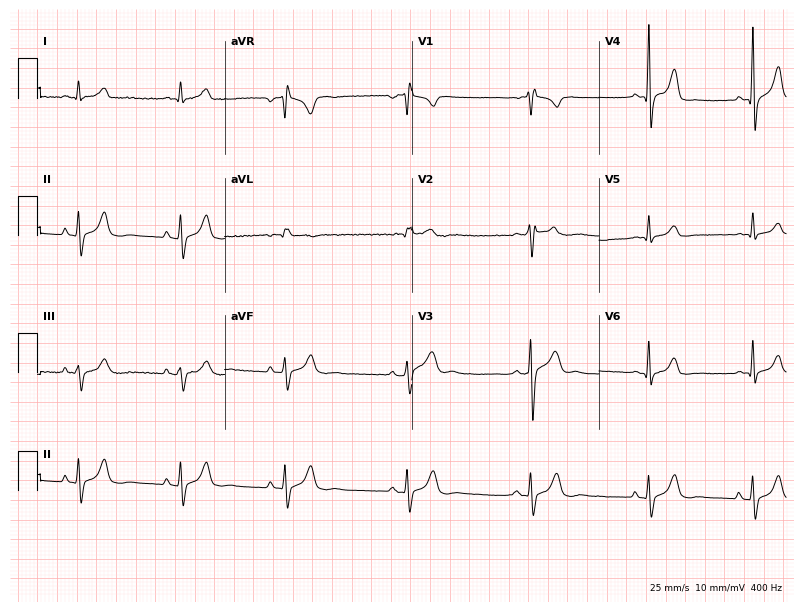
Resting 12-lead electrocardiogram. Patient: a male, 21 years old. None of these six findings is recorded: first-degree AV block, right bundle branch block, left bundle branch block, sinus bradycardia, atrial fibrillation, sinus tachycardia. Only these six findings were labelled.